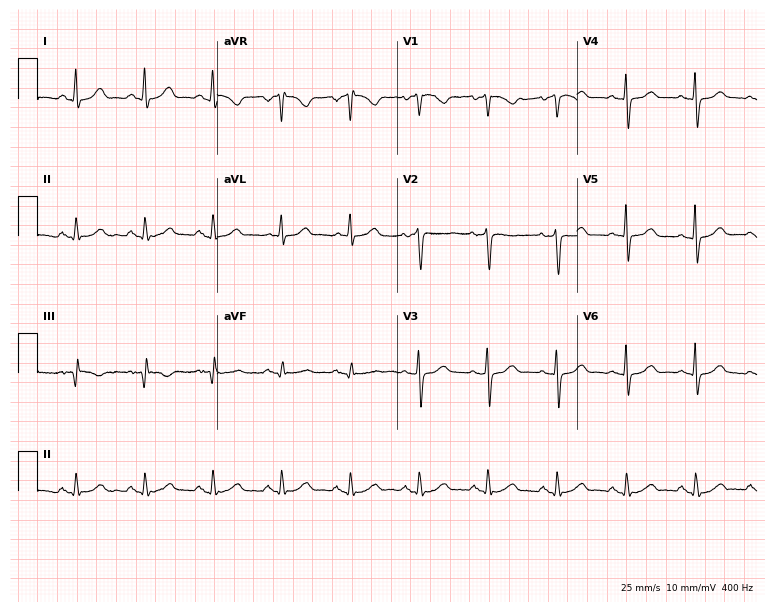
12-lead ECG from a 53-year-old woman. Recorded interpretation: within normal limits.